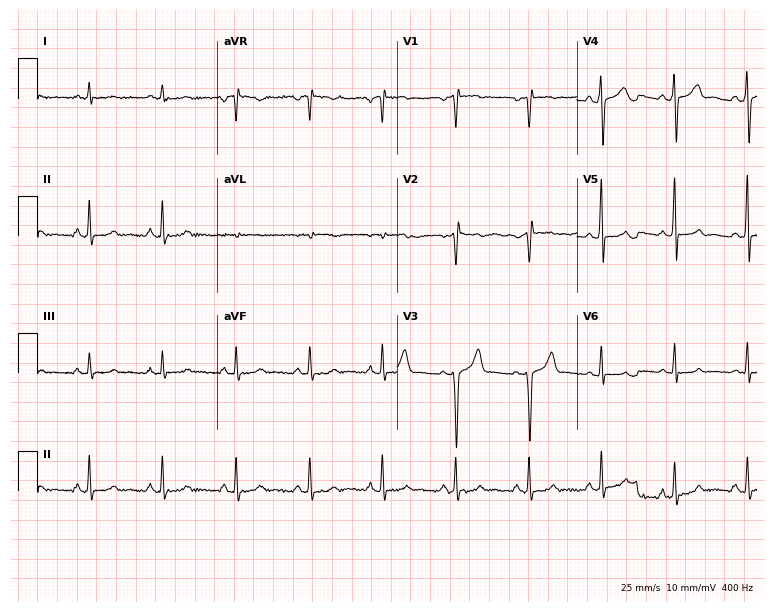
12-lead ECG from a 42-year-old male patient. No first-degree AV block, right bundle branch block (RBBB), left bundle branch block (LBBB), sinus bradycardia, atrial fibrillation (AF) or sinus tachycardia recorded for this tracing.